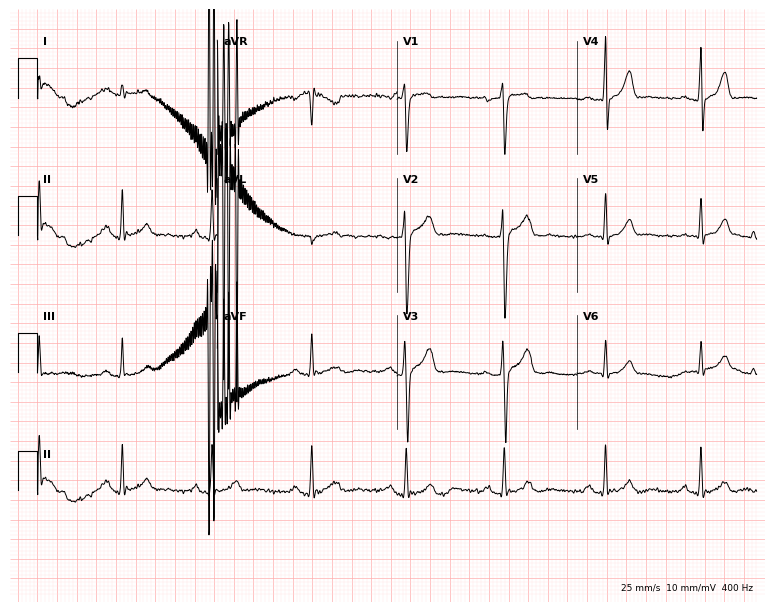
Resting 12-lead electrocardiogram. Patient: a 47-year-old male. Read as a normal ECG.